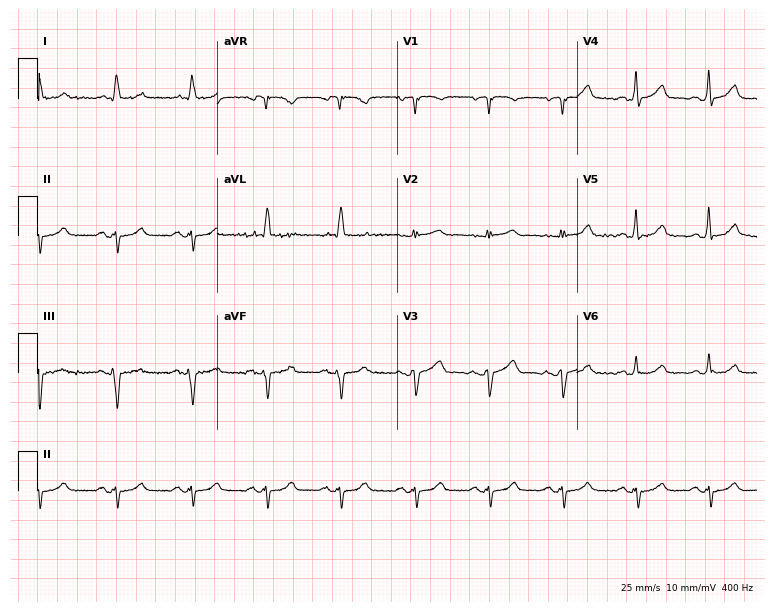
Resting 12-lead electrocardiogram (7.3-second recording at 400 Hz). Patient: a 60-year-old man. None of these six findings is recorded: first-degree AV block, right bundle branch block, left bundle branch block, sinus bradycardia, atrial fibrillation, sinus tachycardia. Only these six findings were labelled.